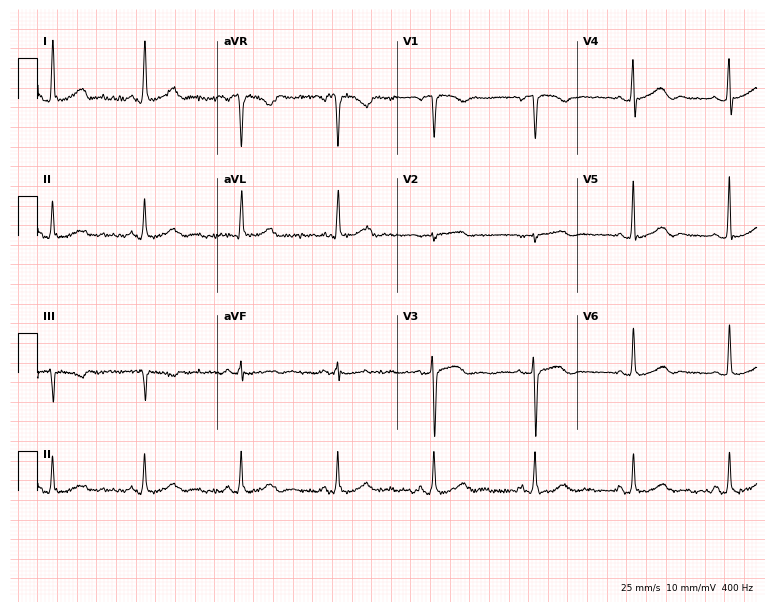
12-lead ECG from a 55-year-old female patient. Recorded interpretation: within normal limits.